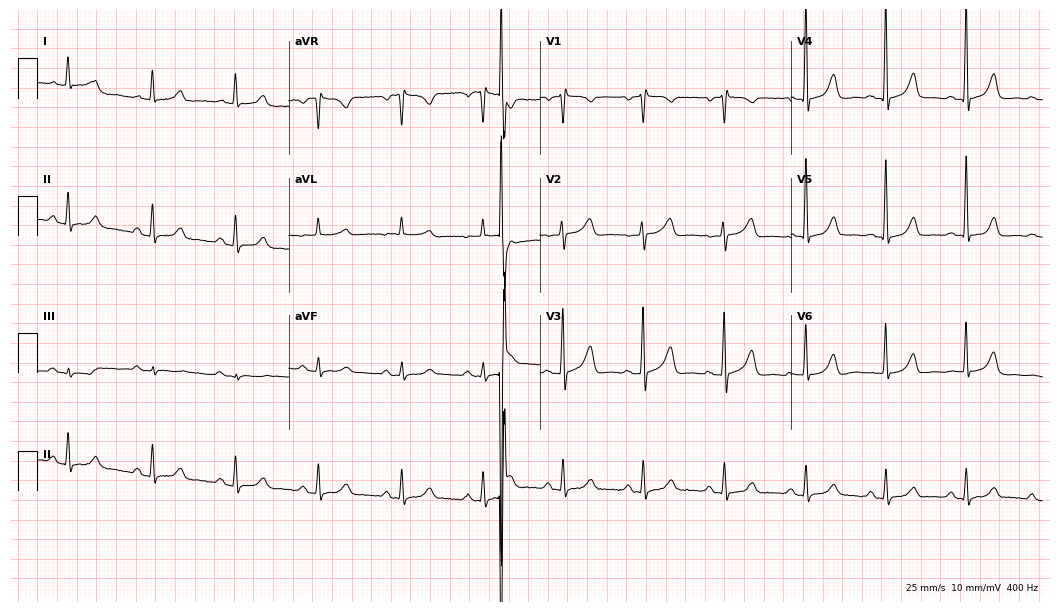
Electrocardiogram, a 76-year-old man. Of the six screened findings (first-degree AV block, right bundle branch block, left bundle branch block, sinus bradycardia, atrial fibrillation, sinus tachycardia), none is recorded. Only these six findings were labelled.